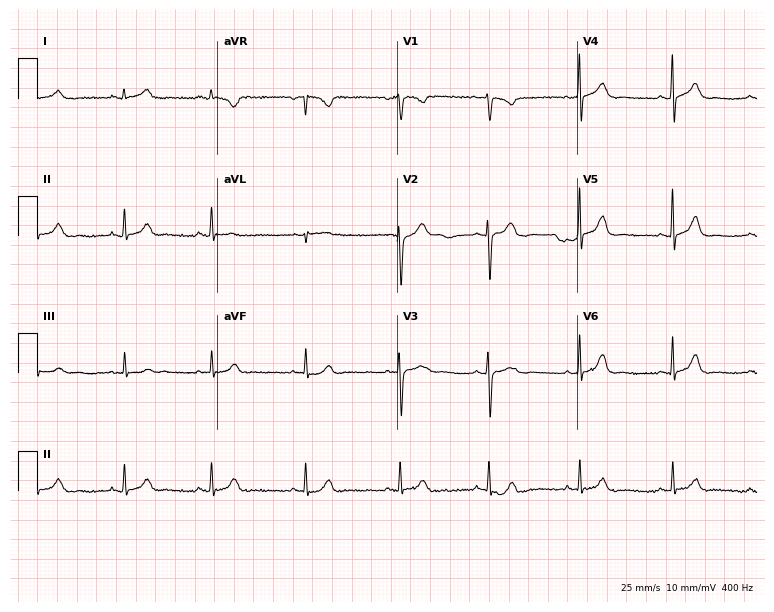
12-lead ECG from a female, 31 years old (7.3-second recording at 400 Hz). Recorded interpretation: within normal limits.